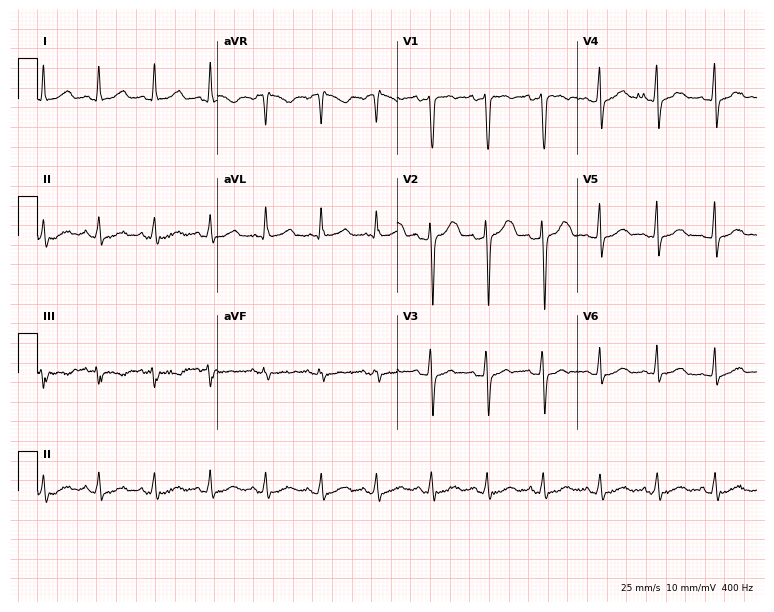
12-lead ECG from a 27-year-old woman. No first-degree AV block, right bundle branch block, left bundle branch block, sinus bradycardia, atrial fibrillation or sinus tachycardia recorded for this tracing.